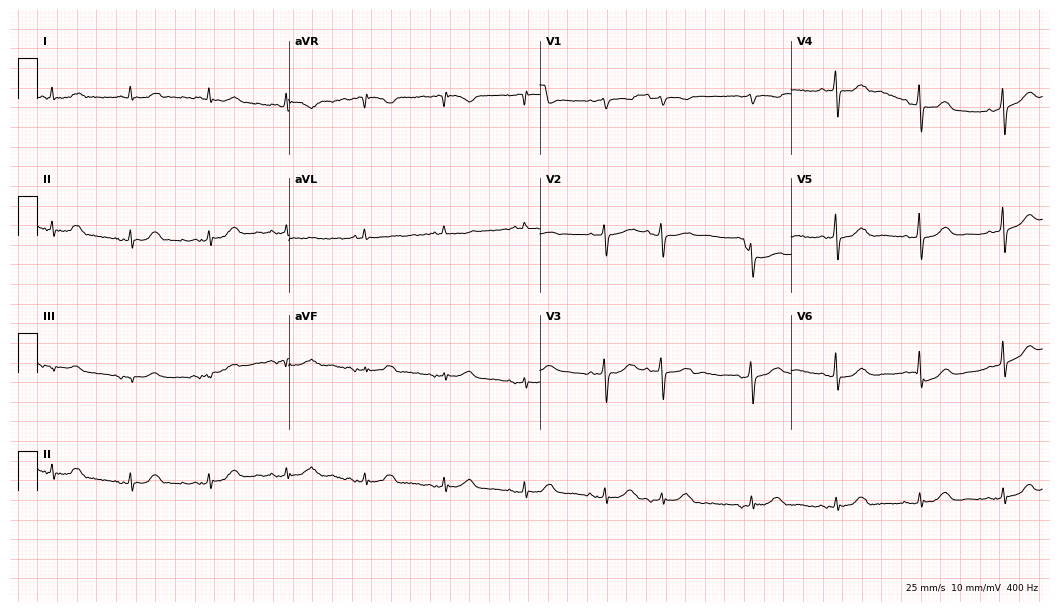
12-lead ECG (10.2-second recording at 400 Hz) from a woman, 85 years old. Labelled as a normal ECG.